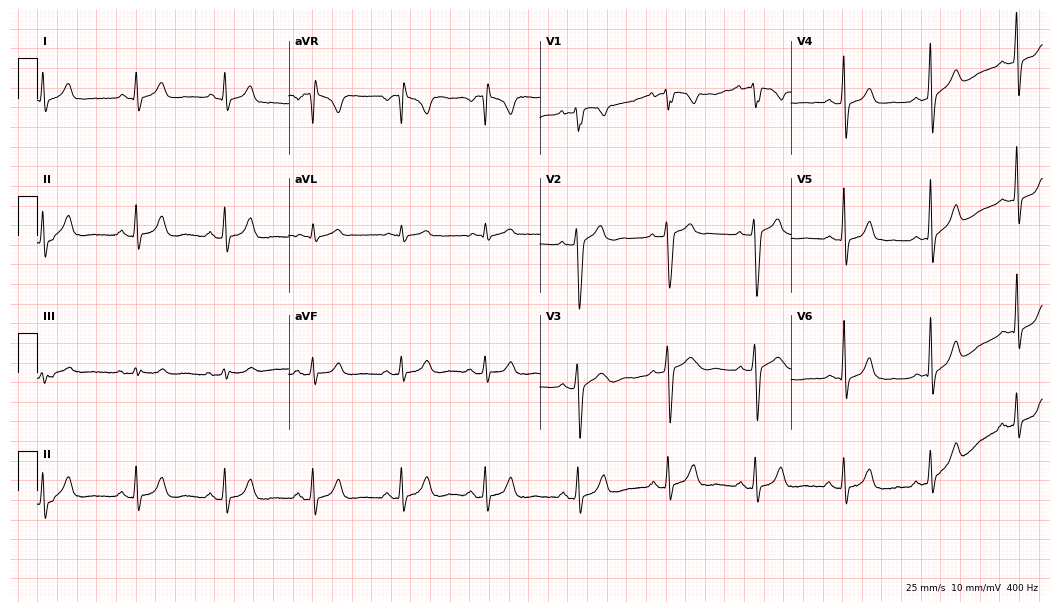
12-lead ECG (10.2-second recording at 400 Hz) from a 31-year-old man. Screened for six findings — first-degree AV block, right bundle branch block, left bundle branch block, sinus bradycardia, atrial fibrillation, sinus tachycardia — none is recorded.